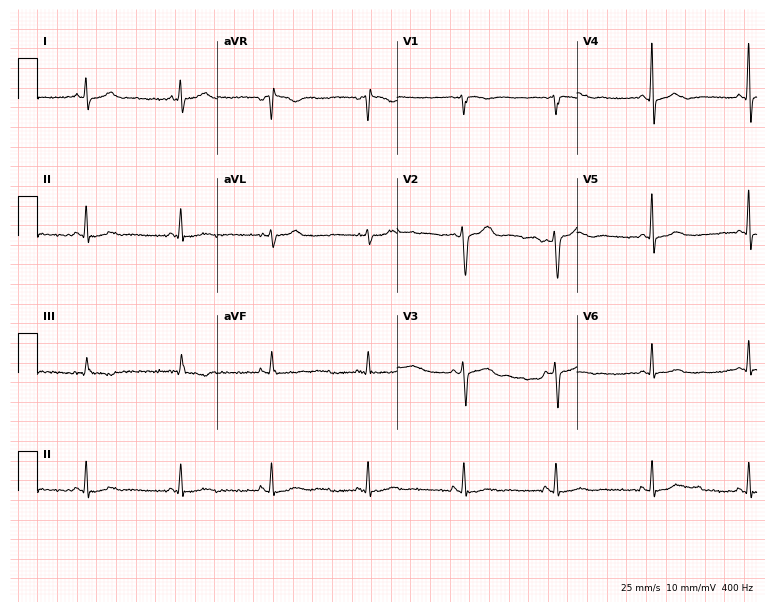
Standard 12-lead ECG recorded from a female patient, 33 years old (7.3-second recording at 400 Hz). None of these six findings is recorded: first-degree AV block, right bundle branch block, left bundle branch block, sinus bradycardia, atrial fibrillation, sinus tachycardia. Only these six findings were labelled.